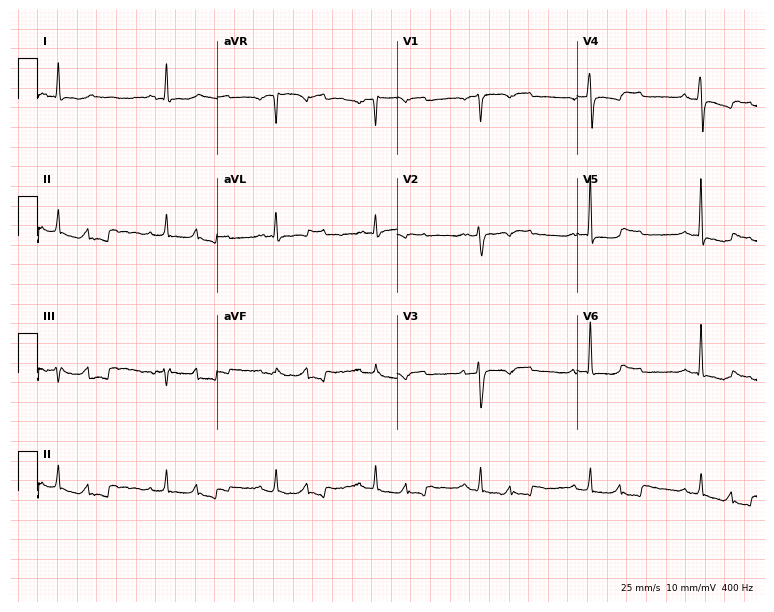
Resting 12-lead electrocardiogram (7.3-second recording at 400 Hz). Patient: a 57-year-old female. None of these six findings is recorded: first-degree AV block, right bundle branch block (RBBB), left bundle branch block (LBBB), sinus bradycardia, atrial fibrillation (AF), sinus tachycardia.